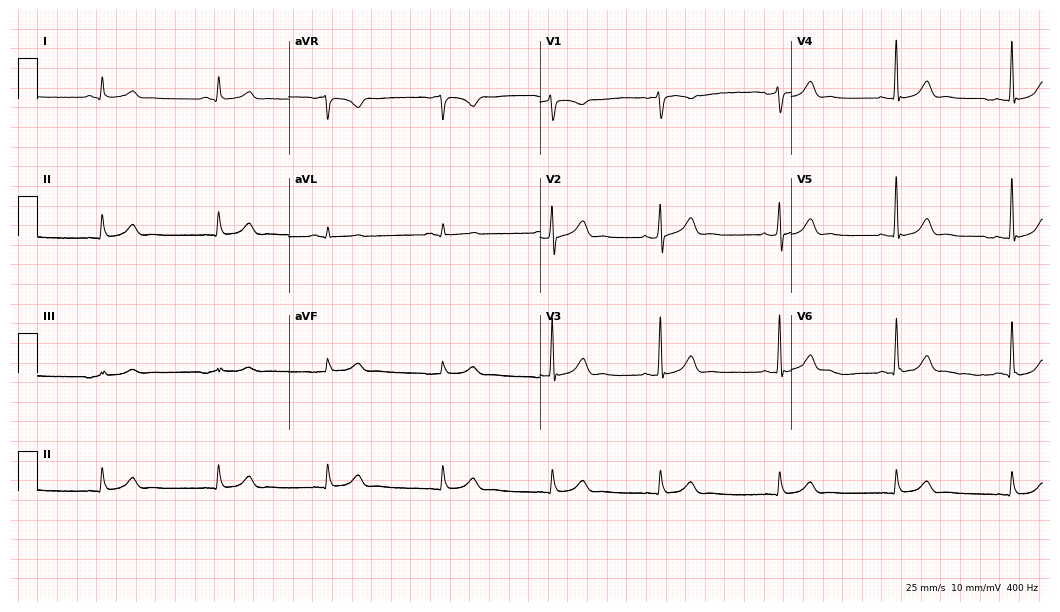
Resting 12-lead electrocardiogram. Patient: a 60-year-old male. The tracing shows sinus bradycardia (a sinus rate of 50 beats per minute or less).